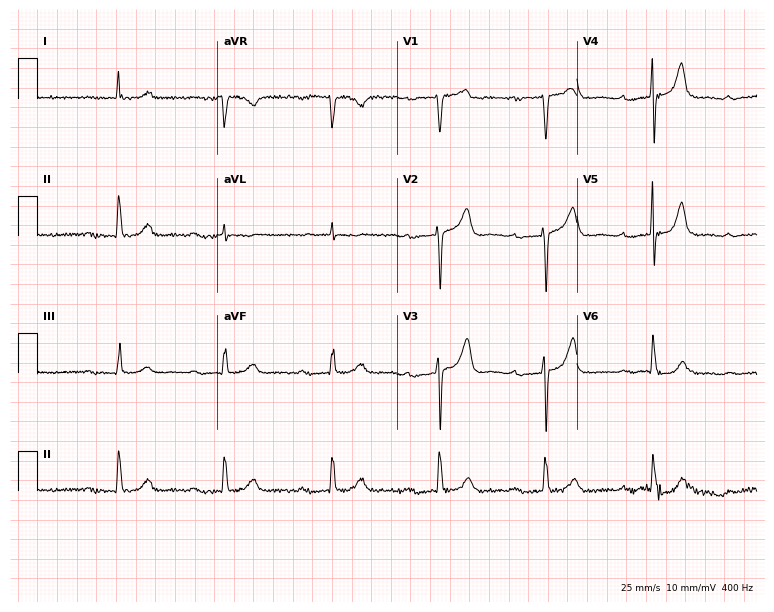
ECG (7.3-second recording at 400 Hz) — an 81-year-old woman. Screened for six findings — first-degree AV block, right bundle branch block, left bundle branch block, sinus bradycardia, atrial fibrillation, sinus tachycardia — none is recorded. Findings outside these six are not listed.